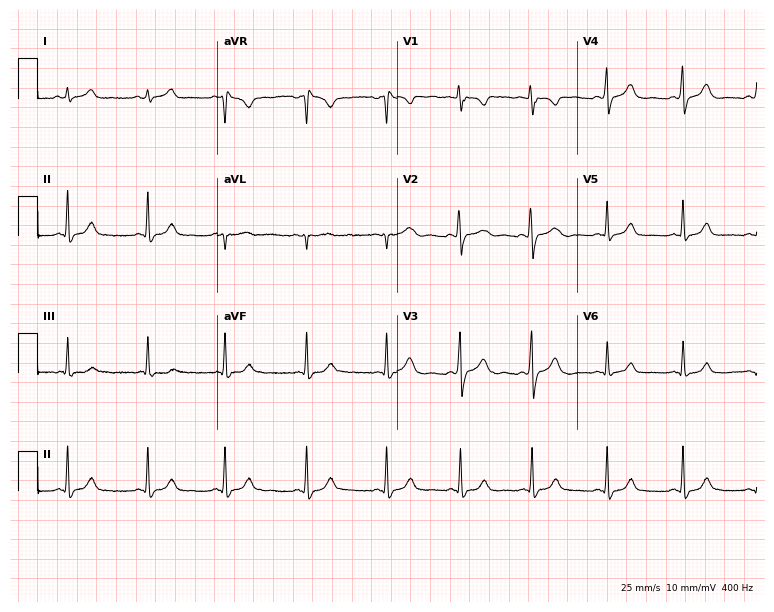
12-lead ECG from a 25-year-old female patient. No first-degree AV block, right bundle branch block (RBBB), left bundle branch block (LBBB), sinus bradycardia, atrial fibrillation (AF) or sinus tachycardia recorded for this tracing.